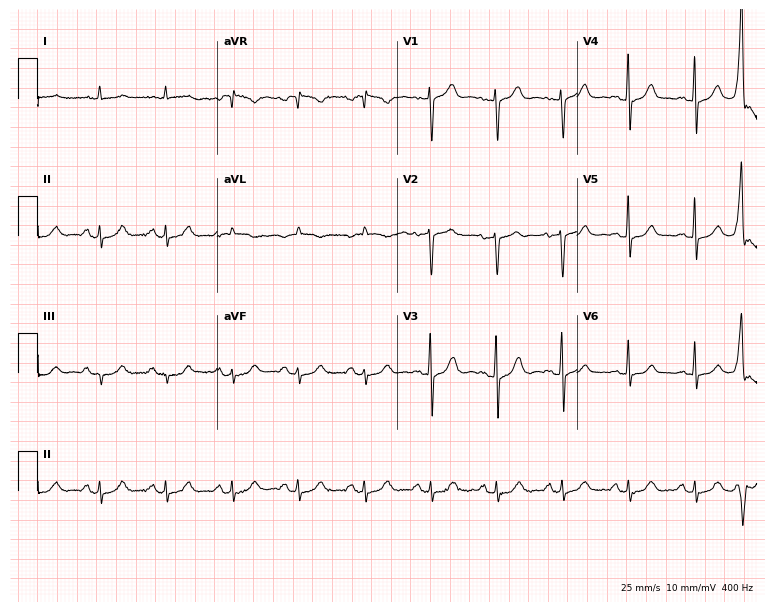
Electrocardiogram (7.3-second recording at 400 Hz), a female patient, 69 years old. Overall reading on record: normal ECG.